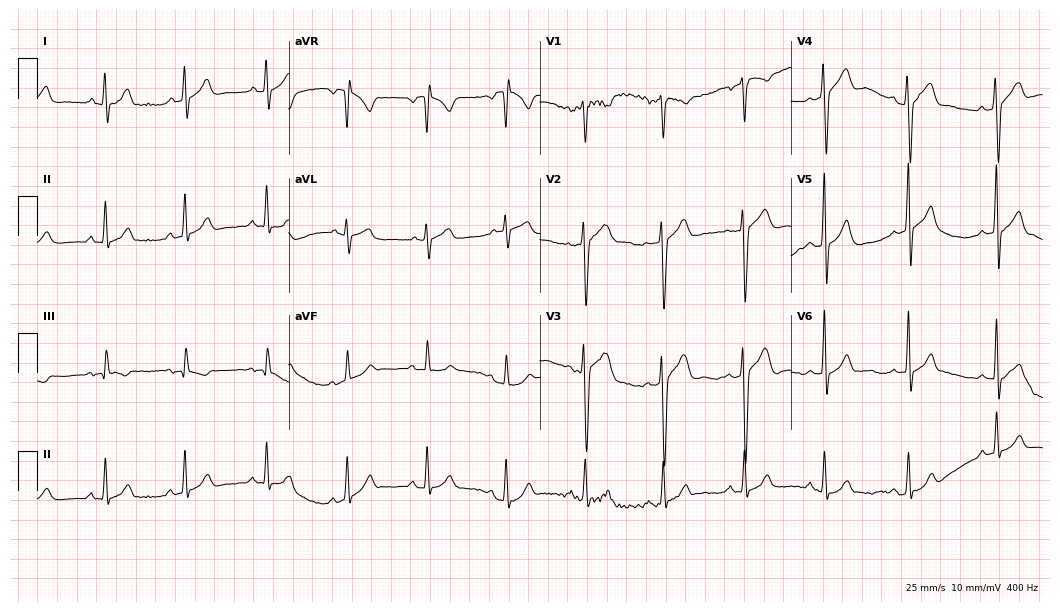
Resting 12-lead electrocardiogram. Patient: a 21-year-old male. Read as a normal ECG.